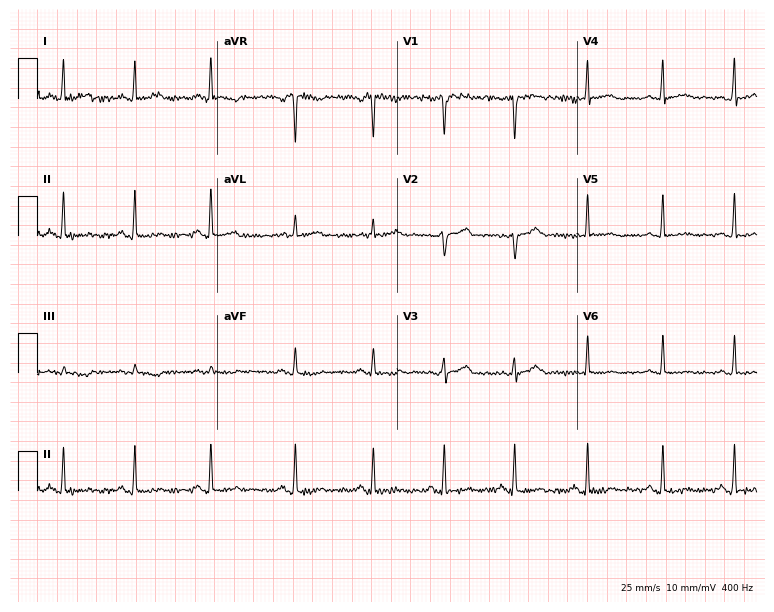
Resting 12-lead electrocardiogram. Patient: a woman, 46 years old. None of these six findings is recorded: first-degree AV block, right bundle branch block, left bundle branch block, sinus bradycardia, atrial fibrillation, sinus tachycardia.